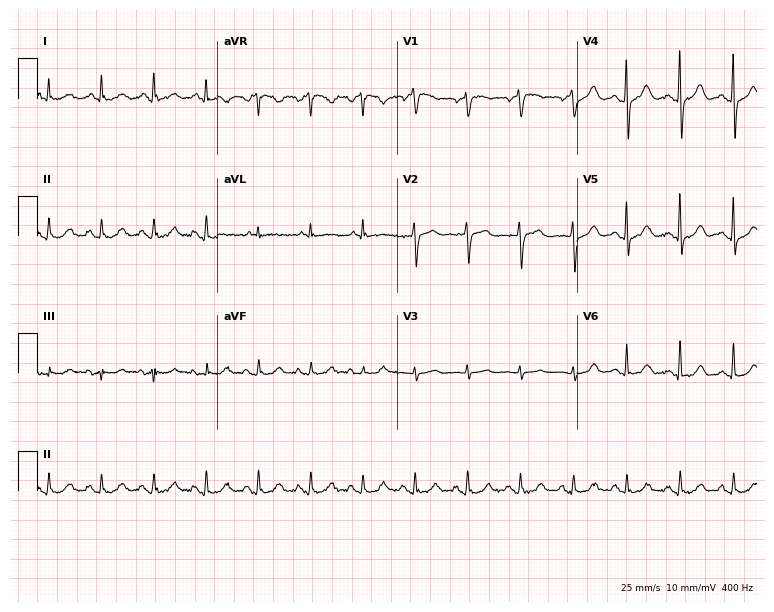
12-lead ECG (7.3-second recording at 400 Hz) from a female patient, 65 years old. Screened for six findings — first-degree AV block, right bundle branch block, left bundle branch block, sinus bradycardia, atrial fibrillation, sinus tachycardia — none is recorded.